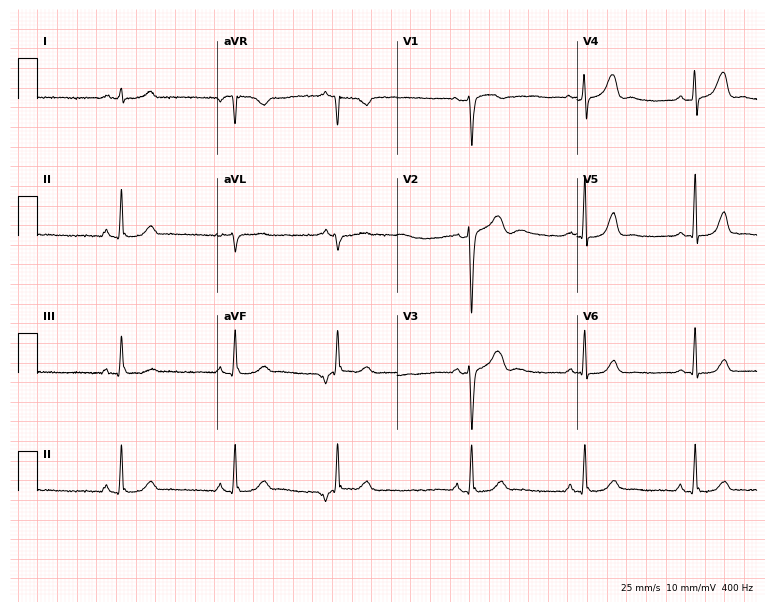
12-lead ECG from a female patient, 38 years old (7.3-second recording at 400 Hz). No first-degree AV block, right bundle branch block, left bundle branch block, sinus bradycardia, atrial fibrillation or sinus tachycardia recorded for this tracing. Findings outside these six are not listed.